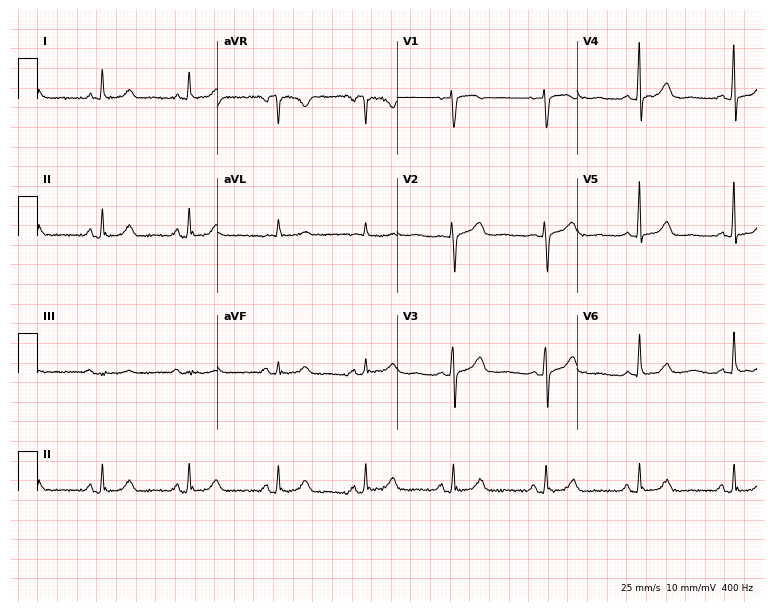
ECG (7.3-second recording at 400 Hz) — a 57-year-old woman. Screened for six findings — first-degree AV block, right bundle branch block, left bundle branch block, sinus bradycardia, atrial fibrillation, sinus tachycardia — none is recorded. Only these six findings were labelled.